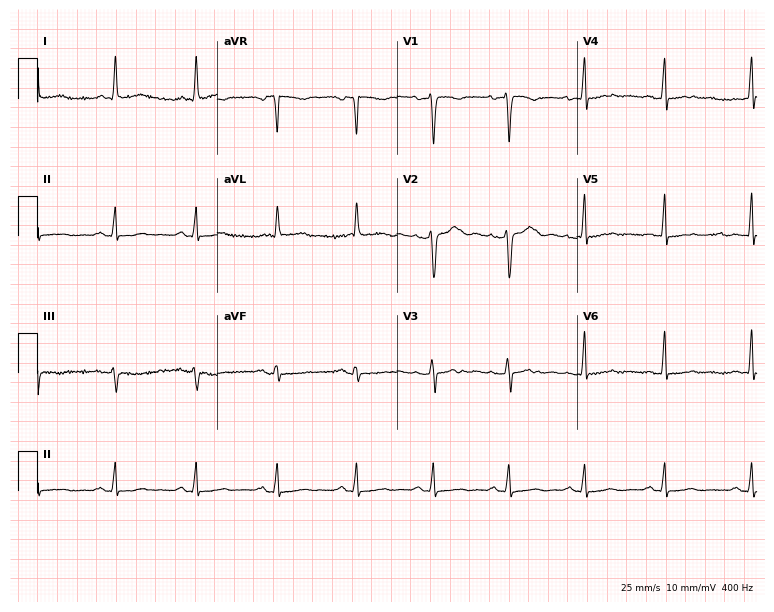
ECG — a female, 44 years old. Screened for six findings — first-degree AV block, right bundle branch block, left bundle branch block, sinus bradycardia, atrial fibrillation, sinus tachycardia — none is recorded. Findings outside these six are not listed.